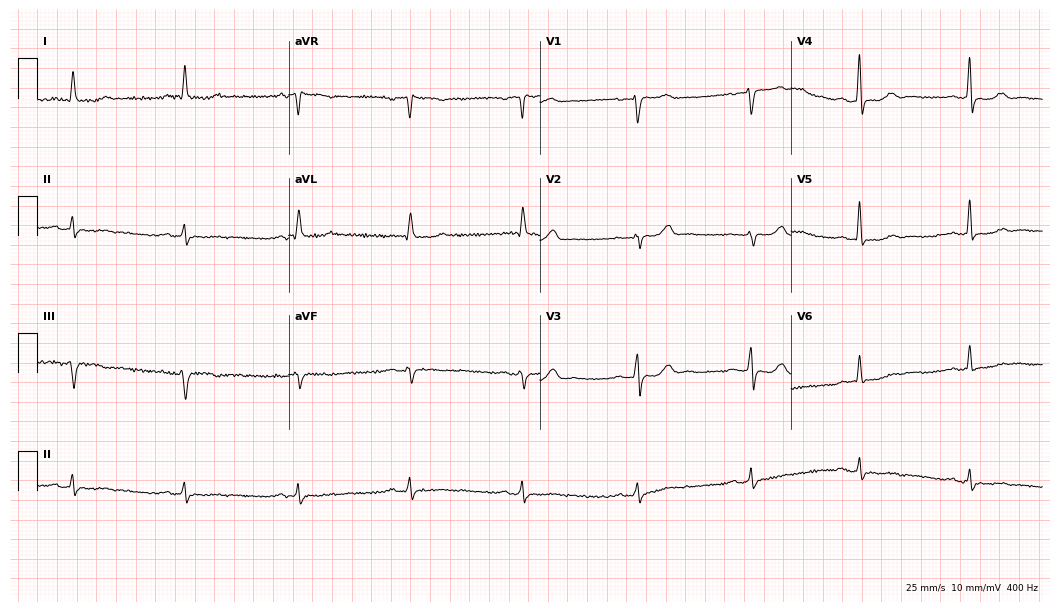
ECG (10.2-second recording at 400 Hz) — a male patient, 66 years old. Screened for six findings — first-degree AV block, right bundle branch block, left bundle branch block, sinus bradycardia, atrial fibrillation, sinus tachycardia — none is recorded. Findings outside these six are not listed.